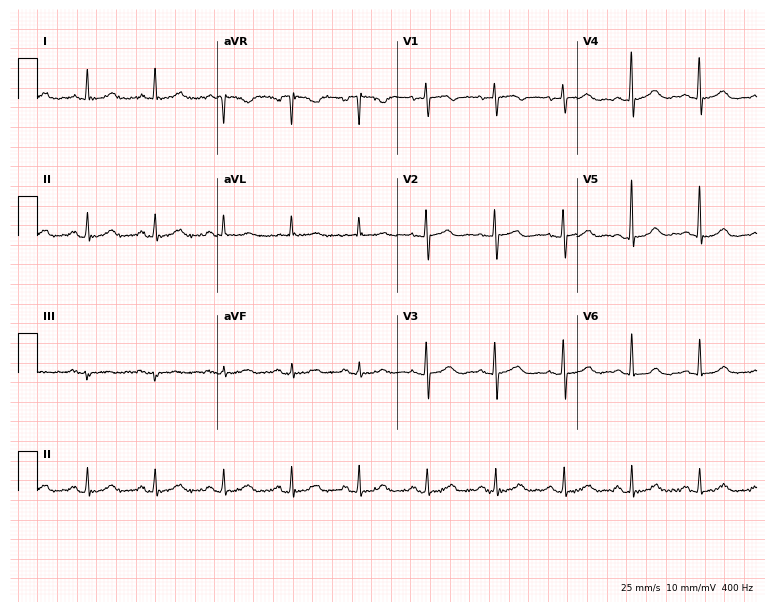
Electrocardiogram, a 66-year-old female patient. Overall reading on record: normal ECG.